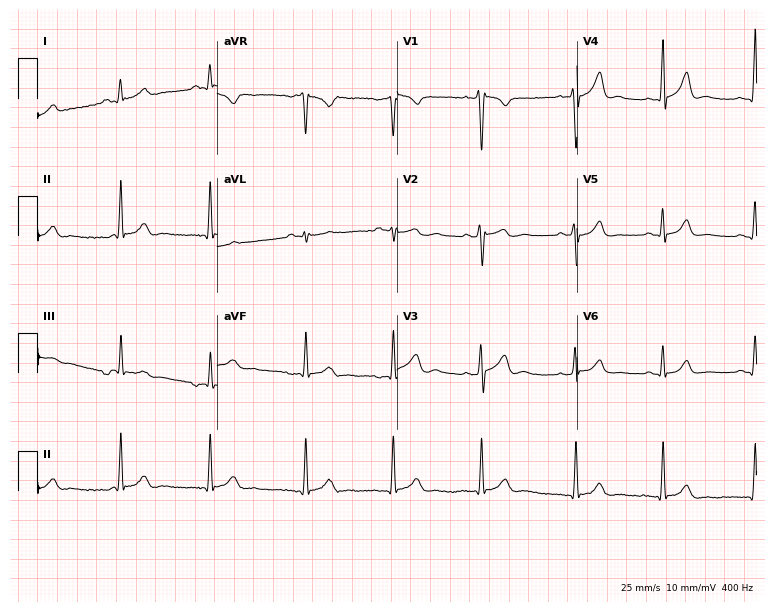
ECG (7.3-second recording at 400 Hz) — a male, 23 years old. Screened for six findings — first-degree AV block, right bundle branch block, left bundle branch block, sinus bradycardia, atrial fibrillation, sinus tachycardia — none is recorded. Other findings, if any, are not listed.